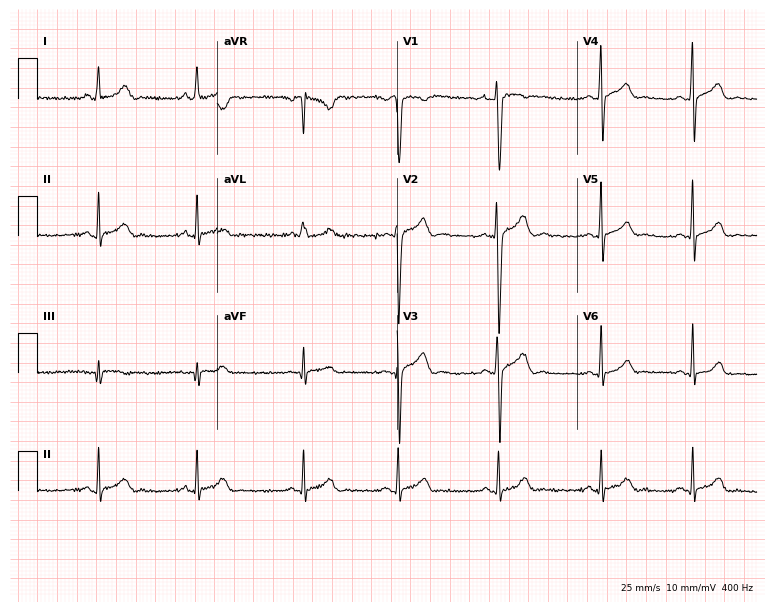
12-lead ECG from a 20-year-old male. Labelled as a normal ECG.